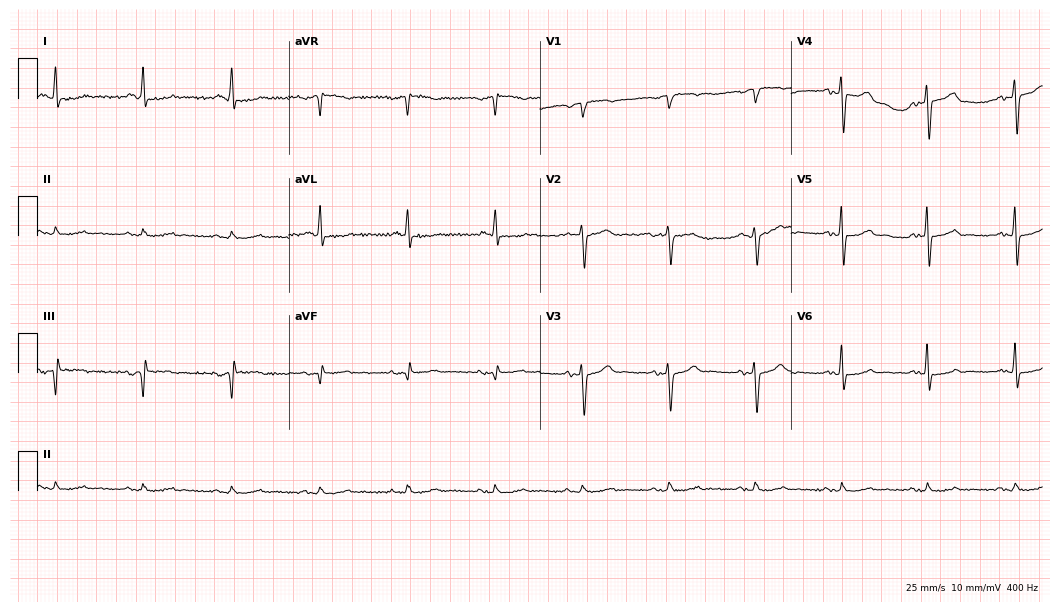
12-lead ECG from a 63-year-old male. Labelled as a normal ECG.